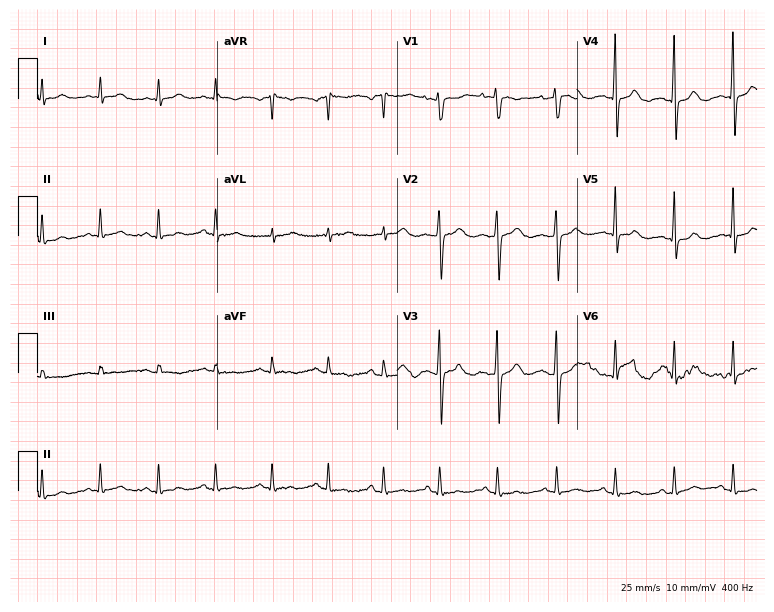
Electrocardiogram (7.3-second recording at 400 Hz), a woman, 41 years old. Interpretation includes sinus tachycardia (a sinus rate of 100 beats per minute or more).